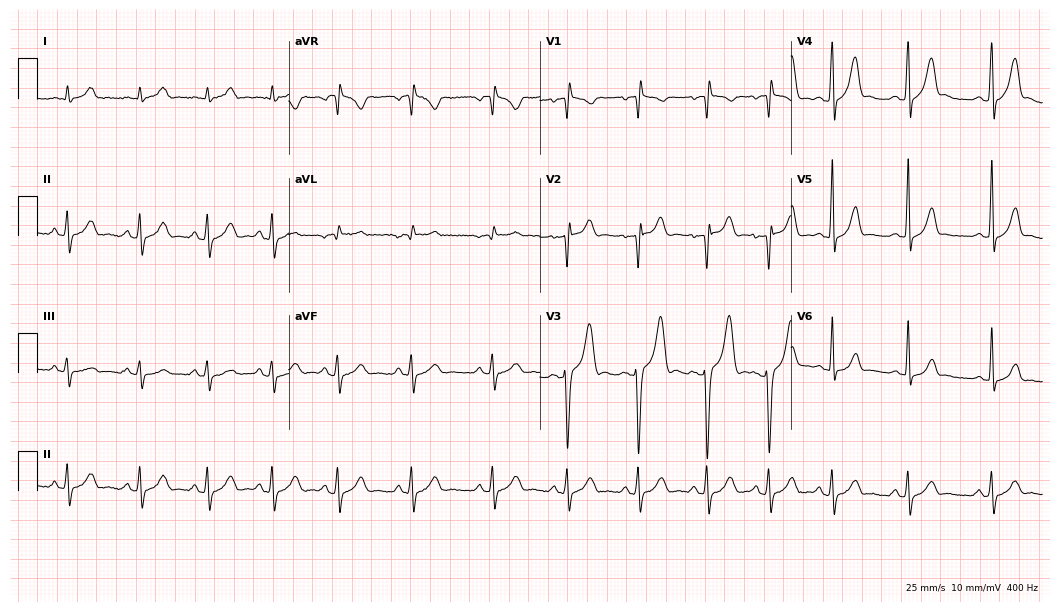
ECG (10.2-second recording at 400 Hz) — a male, 23 years old. Screened for six findings — first-degree AV block, right bundle branch block, left bundle branch block, sinus bradycardia, atrial fibrillation, sinus tachycardia — none is recorded. Other findings, if any, are not listed.